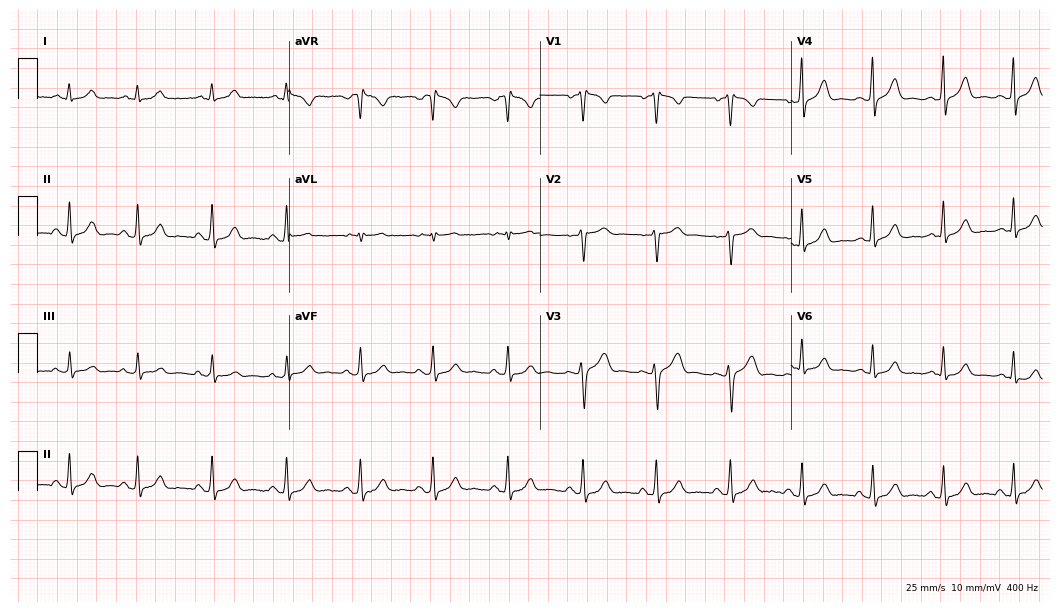
12-lead ECG (10.2-second recording at 400 Hz) from a 40-year-old male patient. Screened for six findings — first-degree AV block, right bundle branch block (RBBB), left bundle branch block (LBBB), sinus bradycardia, atrial fibrillation (AF), sinus tachycardia — none is recorded. Findings outside these six are not listed.